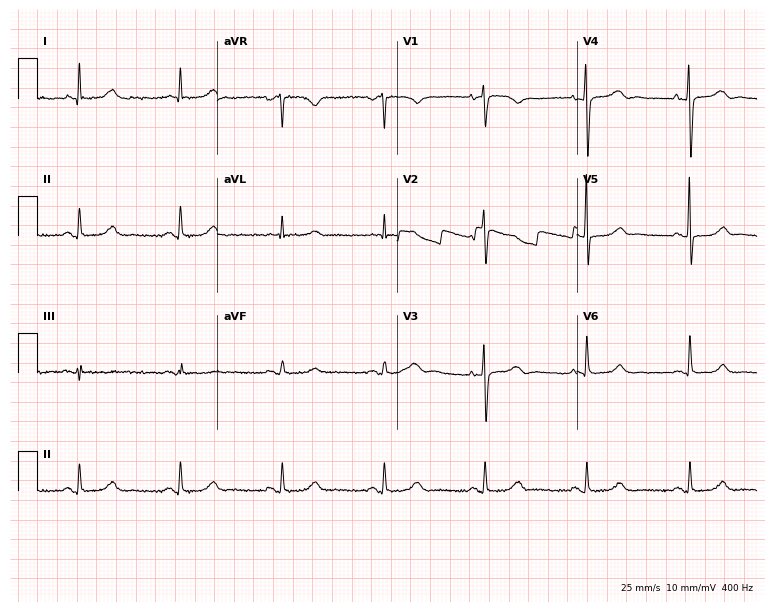
Resting 12-lead electrocardiogram (7.3-second recording at 400 Hz). Patient: a female, 79 years old. None of these six findings is recorded: first-degree AV block, right bundle branch block, left bundle branch block, sinus bradycardia, atrial fibrillation, sinus tachycardia. Findings outside these six are not listed.